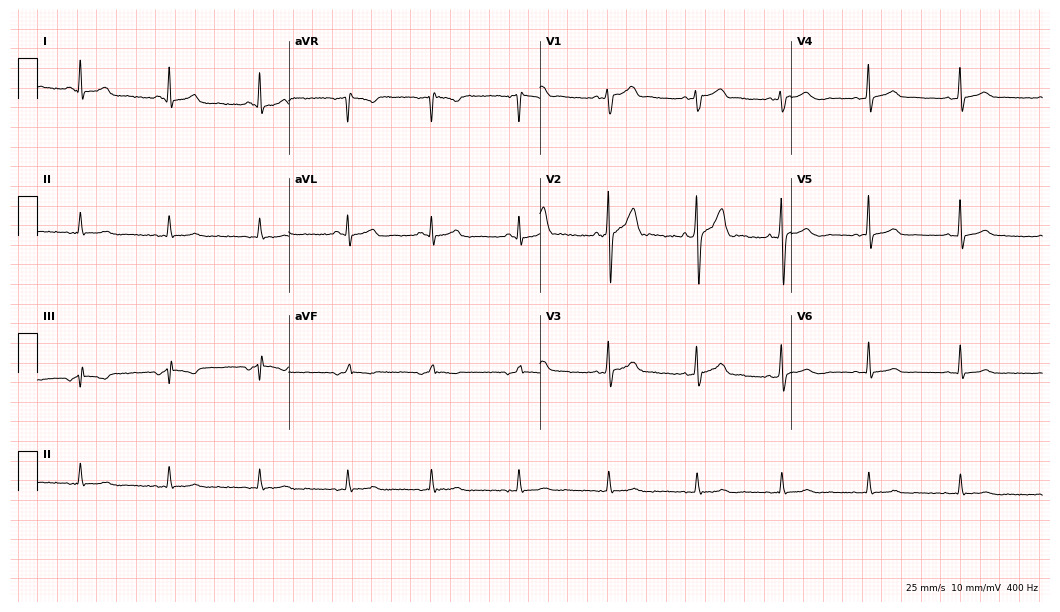
Standard 12-lead ECG recorded from a 39-year-old man (10.2-second recording at 400 Hz). None of these six findings is recorded: first-degree AV block, right bundle branch block, left bundle branch block, sinus bradycardia, atrial fibrillation, sinus tachycardia.